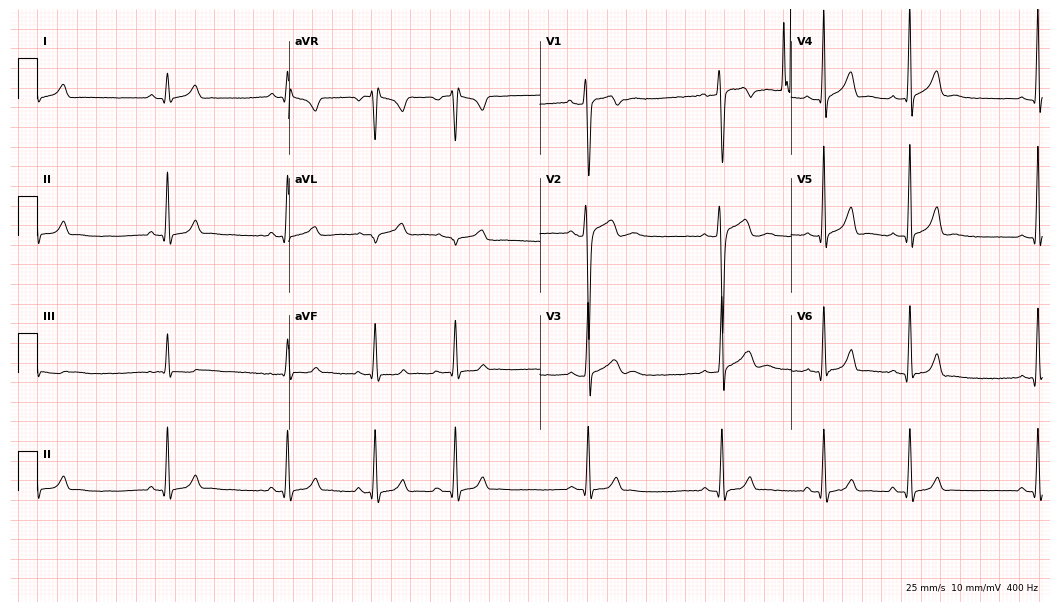
Electrocardiogram (10.2-second recording at 400 Hz), a male patient, 23 years old. Of the six screened findings (first-degree AV block, right bundle branch block, left bundle branch block, sinus bradycardia, atrial fibrillation, sinus tachycardia), none is recorded. Only these six findings were labelled.